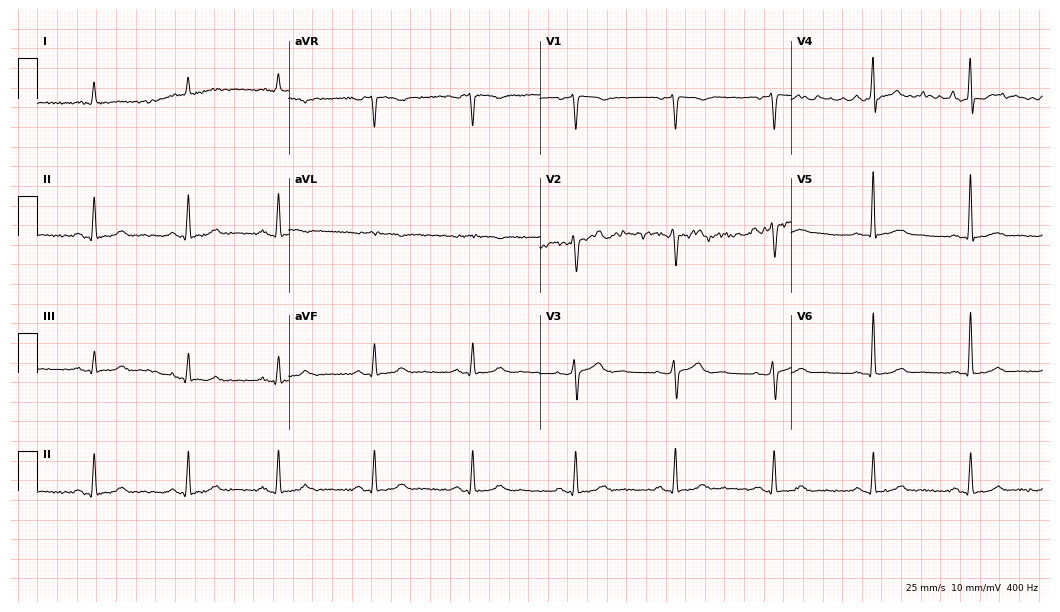
Resting 12-lead electrocardiogram (10.2-second recording at 400 Hz). Patient: a 59-year-old man. Read as a normal ECG.